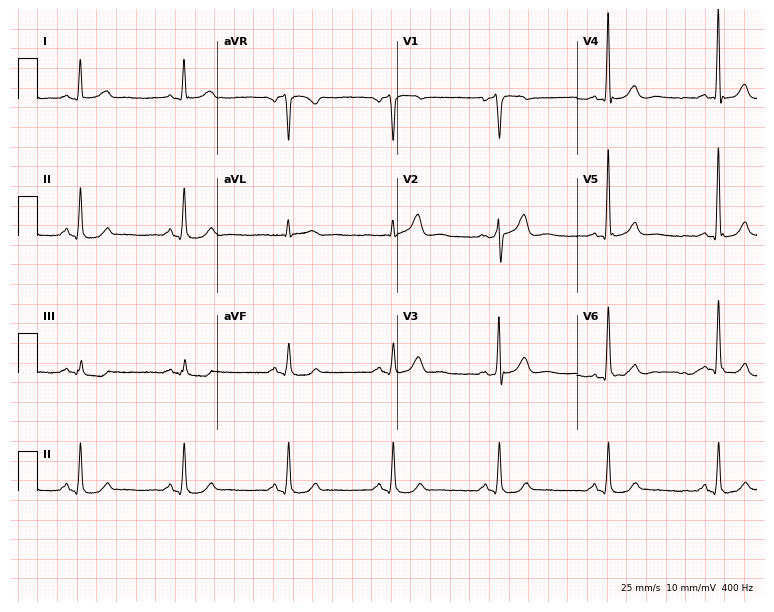
12-lead ECG from a man, 66 years old. Screened for six findings — first-degree AV block, right bundle branch block, left bundle branch block, sinus bradycardia, atrial fibrillation, sinus tachycardia — none is recorded.